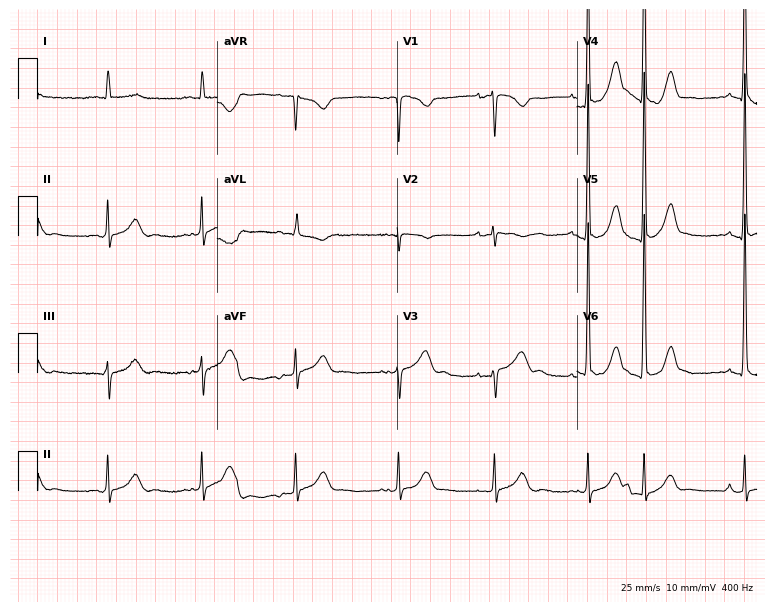
ECG — a male patient, 74 years old. Labelled as a normal ECG.